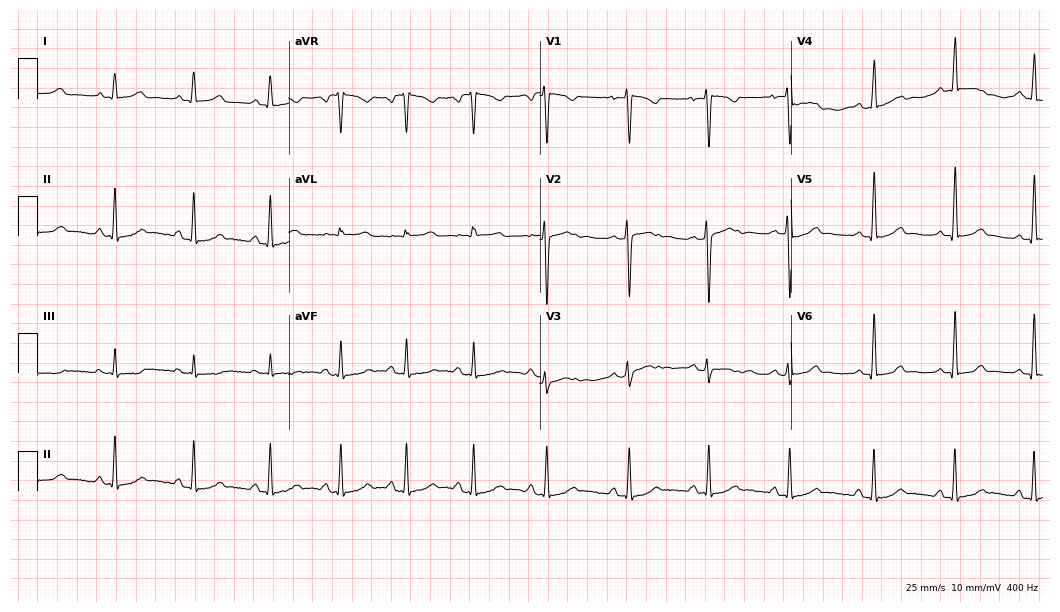
12-lead ECG (10.2-second recording at 400 Hz) from a 25-year-old female. Labelled as a normal ECG.